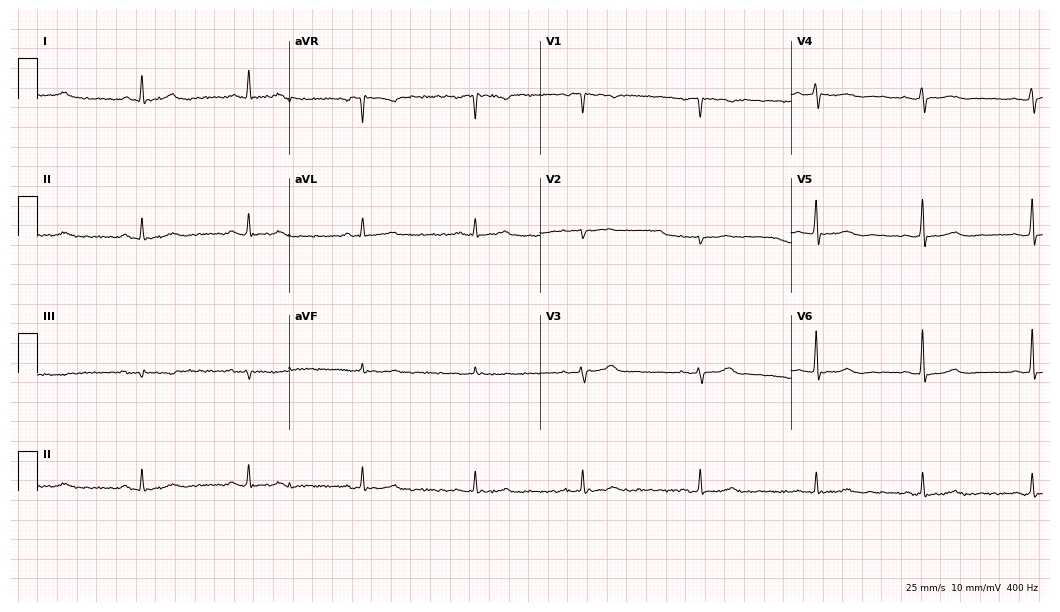
12-lead ECG from a female patient, 63 years old. Screened for six findings — first-degree AV block, right bundle branch block, left bundle branch block, sinus bradycardia, atrial fibrillation, sinus tachycardia — none is recorded.